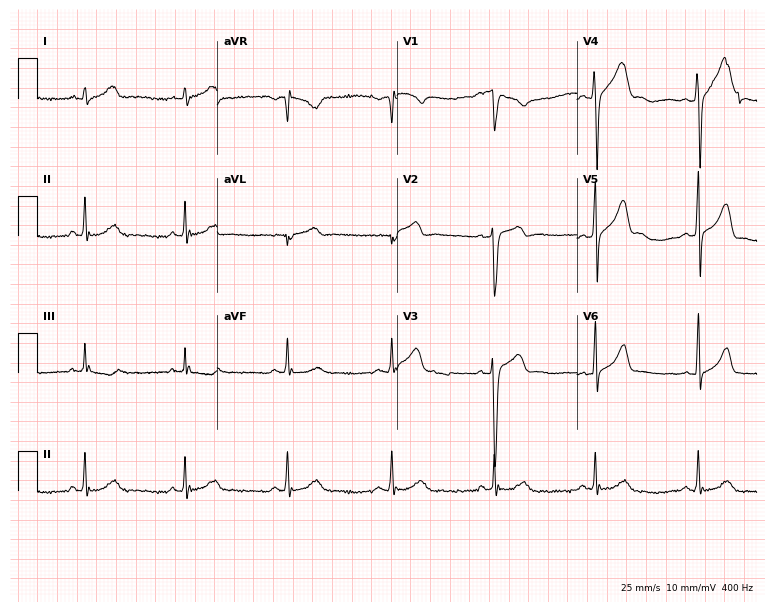
Resting 12-lead electrocardiogram. Patient: a 22-year-old male. None of these six findings is recorded: first-degree AV block, right bundle branch block (RBBB), left bundle branch block (LBBB), sinus bradycardia, atrial fibrillation (AF), sinus tachycardia.